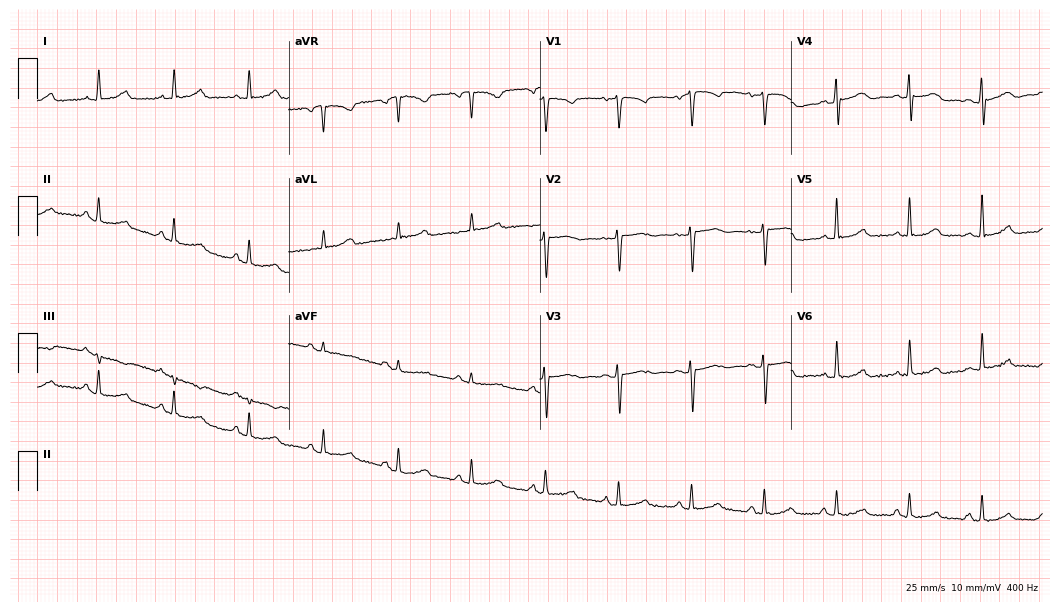
ECG (10.2-second recording at 400 Hz) — a 67-year-old female. Labelled as a normal ECG.